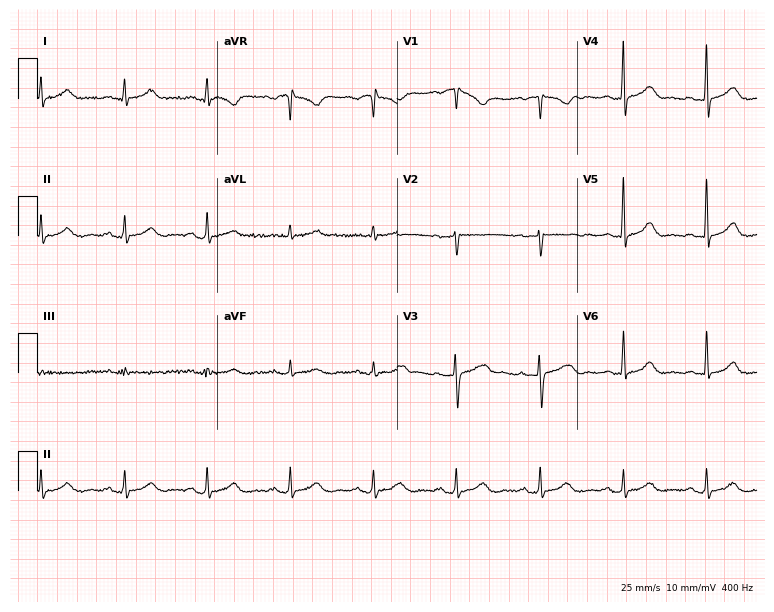
12-lead ECG from a 35-year-old female. Labelled as a normal ECG.